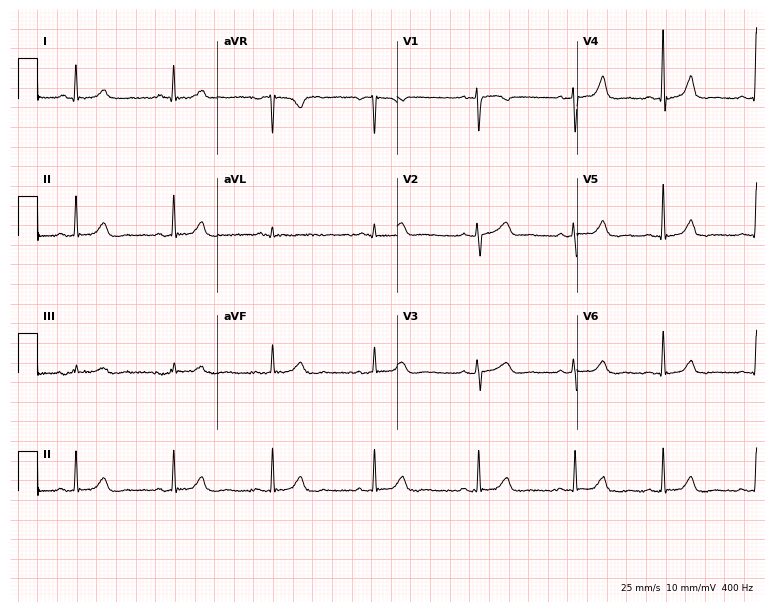
Electrocardiogram, a 59-year-old woman. Of the six screened findings (first-degree AV block, right bundle branch block, left bundle branch block, sinus bradycardia, atrial fibrillation, sinus tachycardia), none is recorded. Other findings, if any, are not listed.